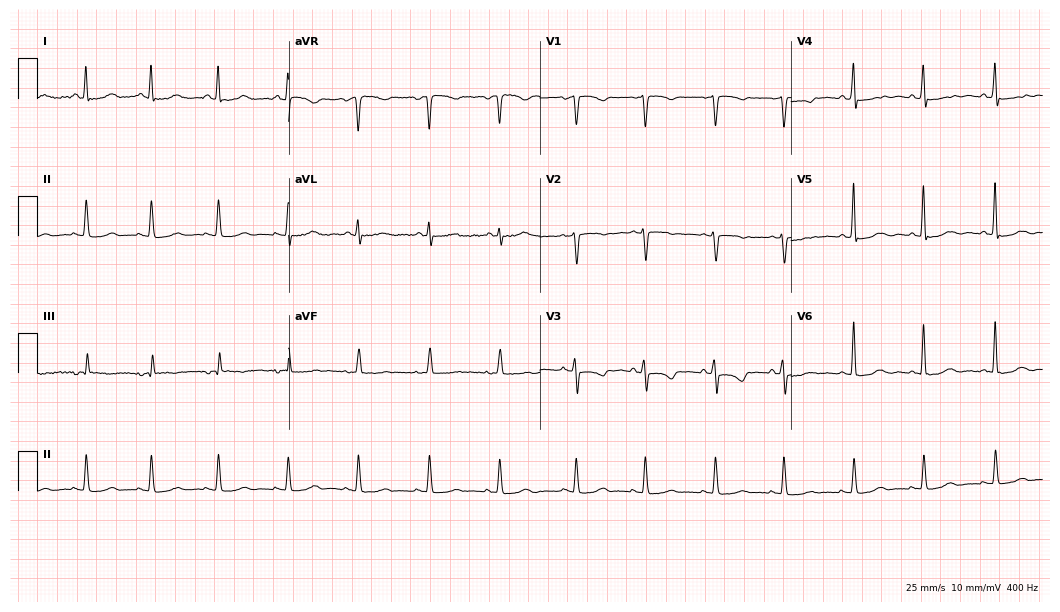
Resting 12-lead electrocardiogram (10.2-second recording at 400 Hz). Patient: a female, 49 years old. Read as a normal ECG.